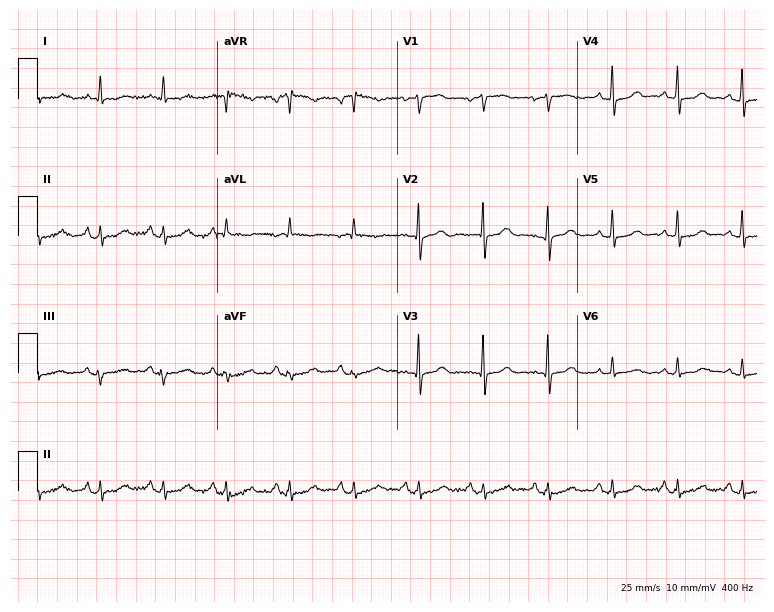
ECG (7.3-second recording at 400 Hz) — a 76-year-old female patient. Screened for six findings — first-degree AV block, right bundle branch block, left bundle branch block, sinus bradycardia, atrial fibrillation, sinus tachycardia — none is recorded.